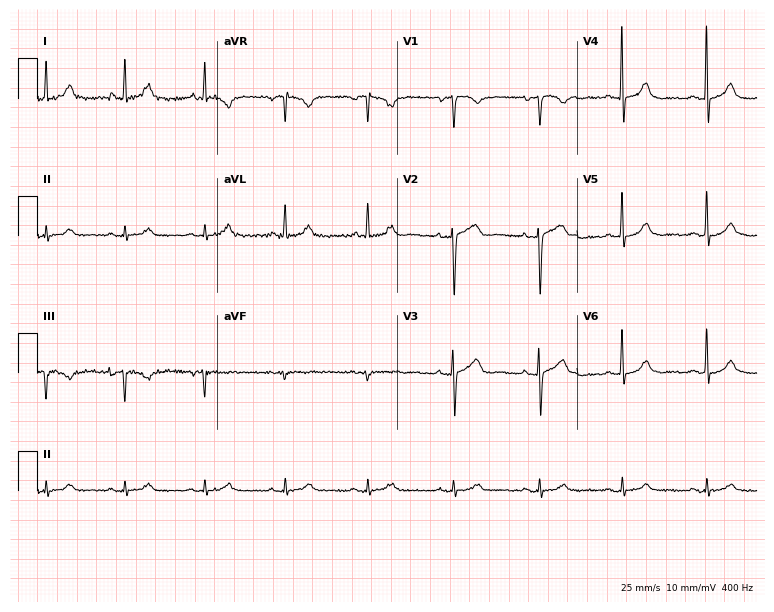
12-lead ECG from a 79-year-old woman. No first-degree AV block, right bundle branch block (RBBB), left bundle branch block (LBBB), sinus bradycardia, atrial fibrillation (AF) or sinus tachycardia recorded for this tracing.